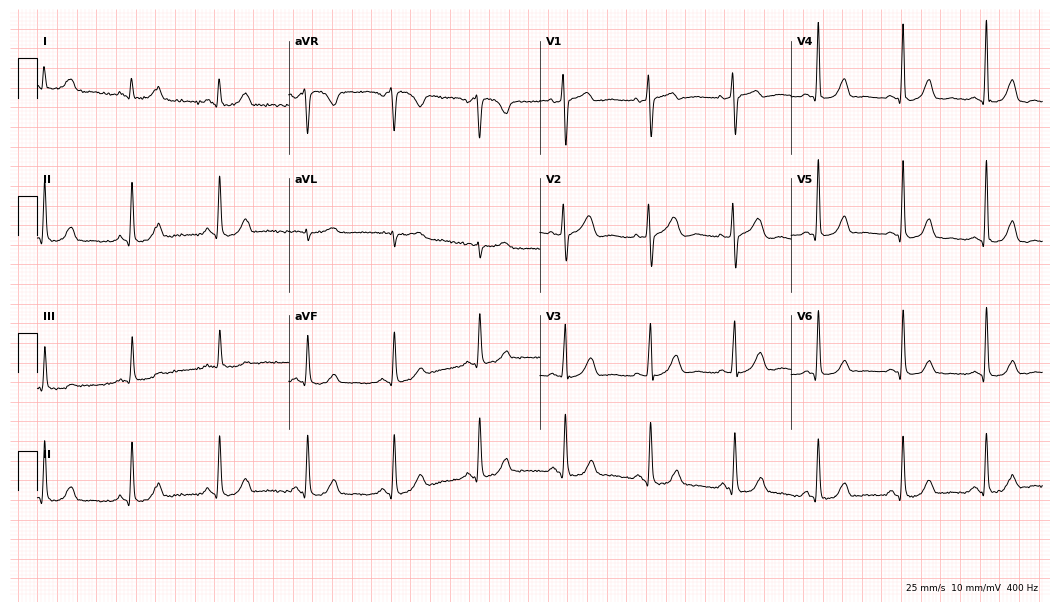
12-lead ECG (10.2-second recording at 400 Hz) from a woman, 55 years old. Labelled as a normal ECG.